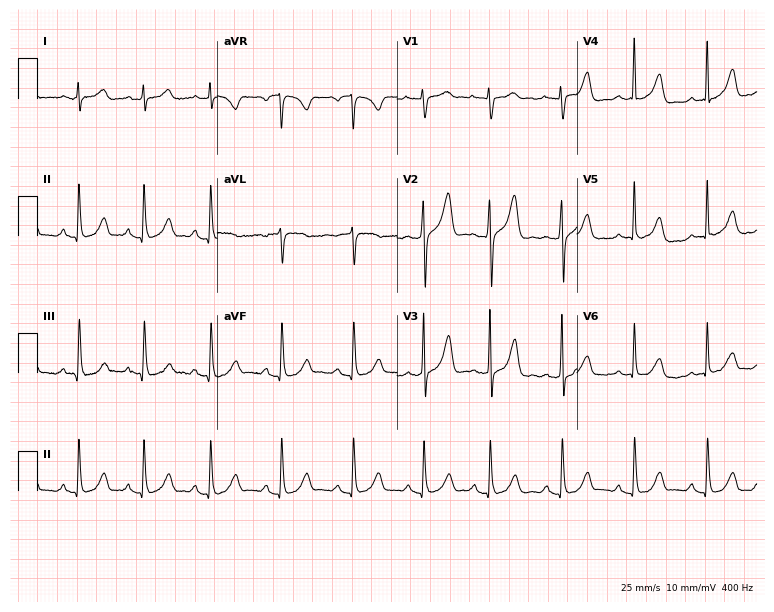
Electrocardiogram, a woman, 31 years old. Of the six screened findings (first-degree AV block, right bundle branch block (RBBB), left bundle branch block (LBBB), sinus bradycardia, atrial fibrillation (AF), sinus tachycardia), none is recorded. Findings outside these six are not listed.